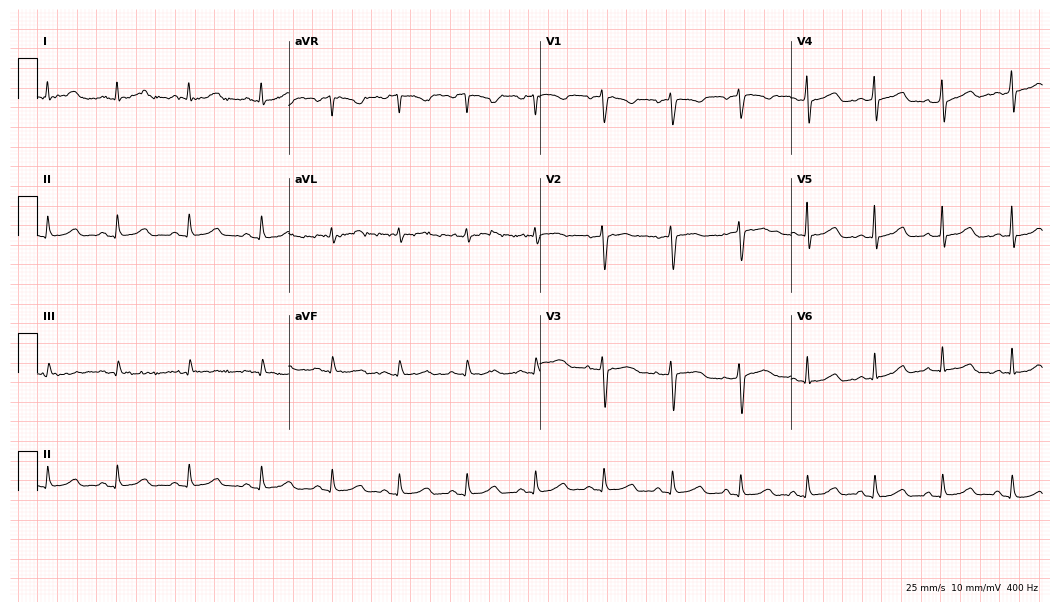
ECG (10.2-second recording at 400 Hz) — a female patient, 46 years old. Labelled as a normal ECG.